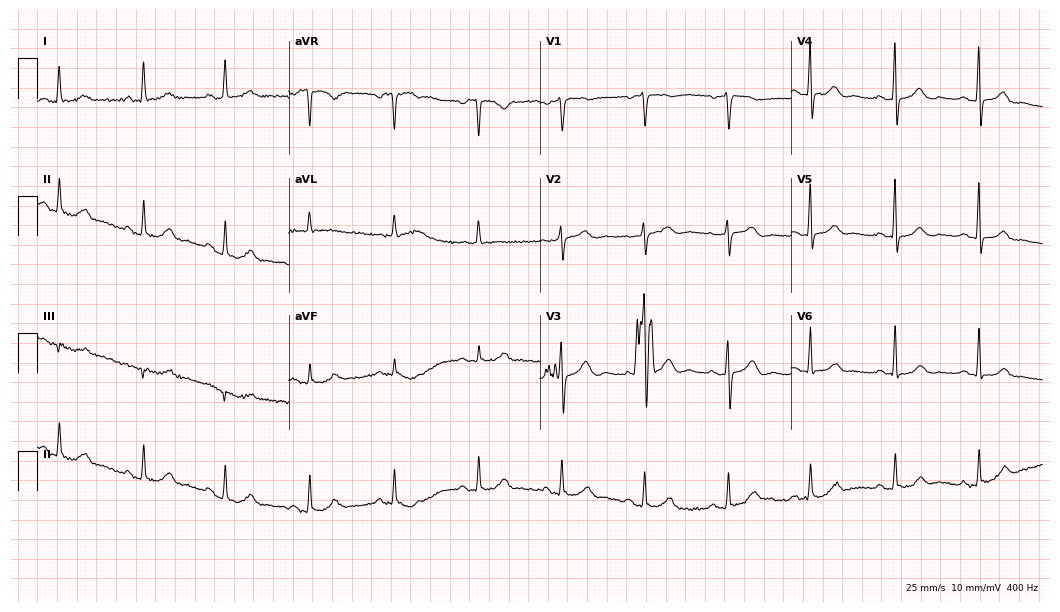
ECG — a 66-year-old female patient. Screened for six findings — first-degree AV block, right bundle branch block (RBBB), left bundle branch block (LBBB), sinus bradycardia, atrial fibrillation (AF), sinus tachycardia — none is recorded. Other findings, if any, are not listed.